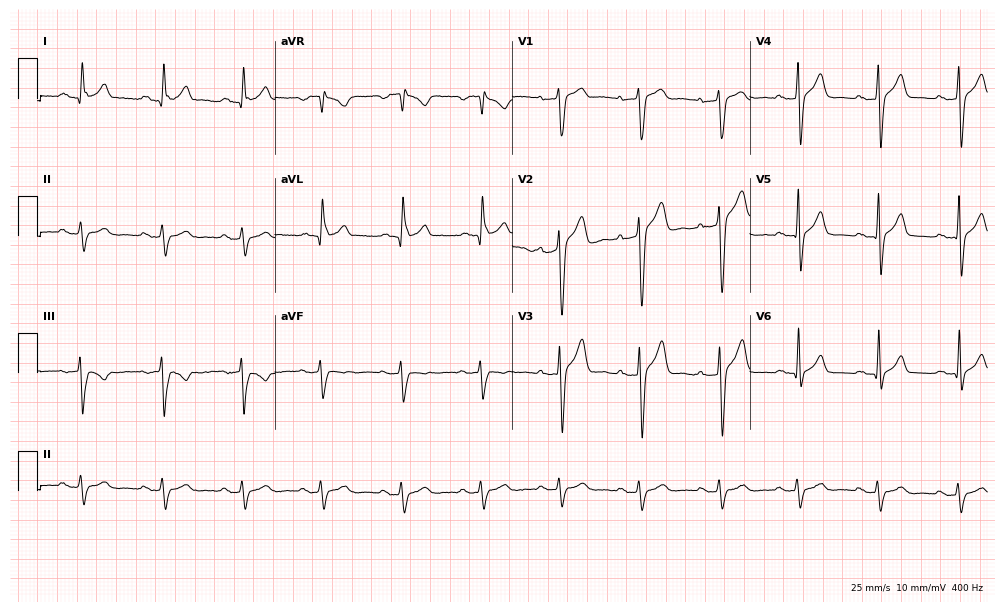
Electrocardiogram, a male, 59 years old. Of the six screened findings (first-degree AV block, right bundle branch block, left bundle branch block, sinus bradycardia, atrial fibrillation, sinus tachycardia), none is recorded.